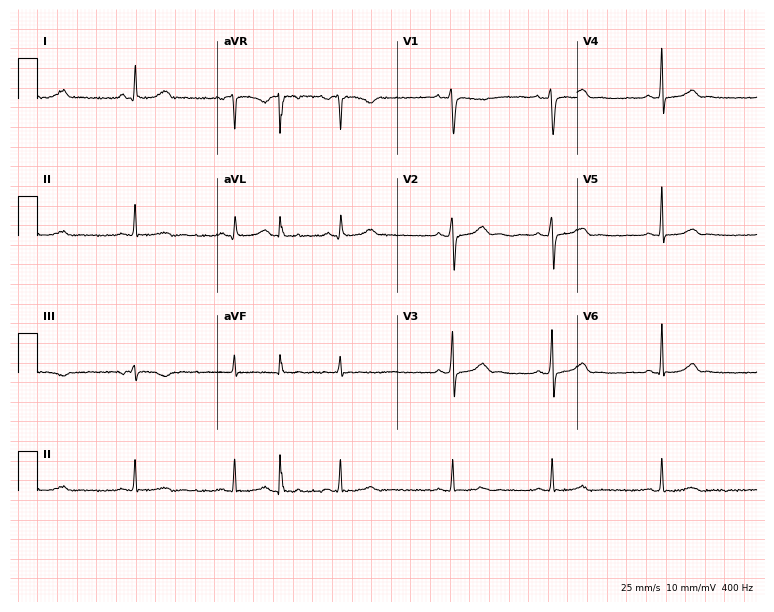
ECG — a woman, 32 years old. Screened for six findings — first-degree AV block, right bundle branch block, left bundle branch block, sinus bradycardia, atrial fibrillation, sinus tachycardia — none is recorded.